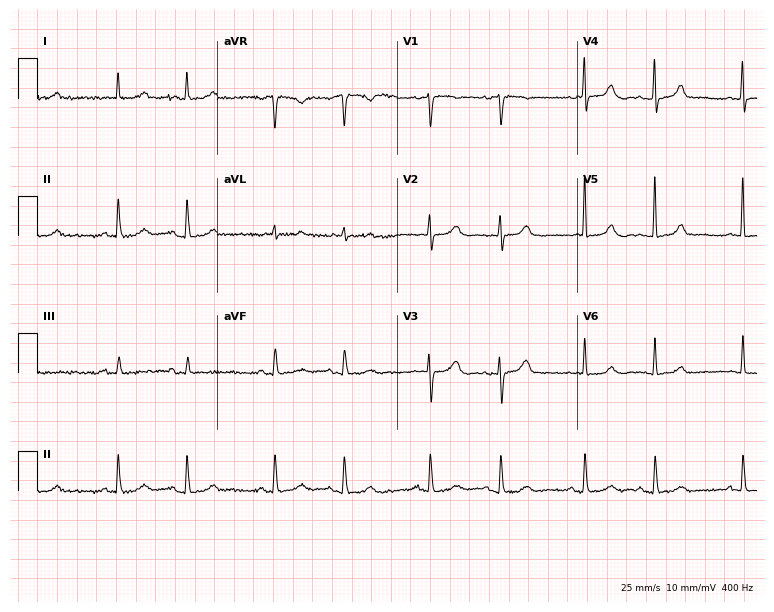
Resting 12-lead electrocardiogram. Patient: a female, 85 years old. None of these six findings is recorded: first-degree AV block, right bundle branch block, left bundle branch block, sinus bradycardia, atrial fibrillation, sinus tachycardia. Findings outside these six are not listed.